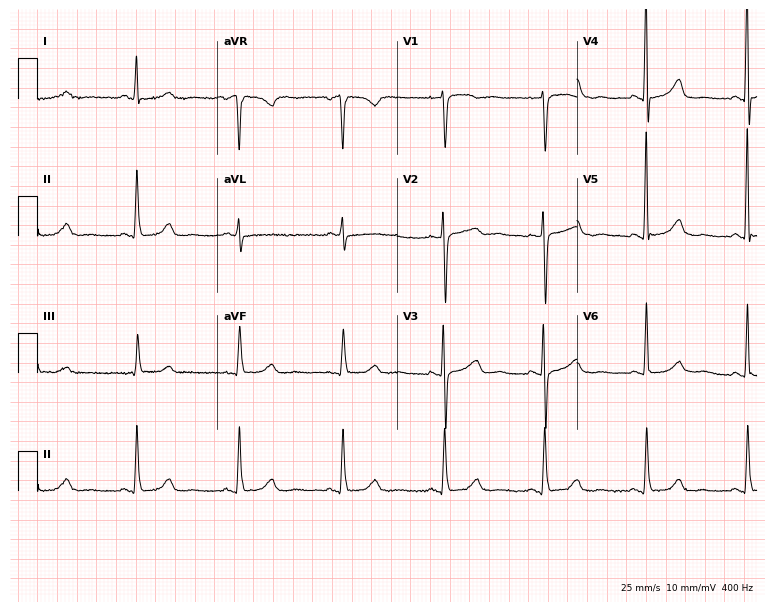
Standard 12-lead ECG recorded from a 74-year-old woman. None of these six findings is recorded: first-degree AV block, right bundle branch block (RBBB), left bundle branch block (LBBB), sinus bradycardia, atrial fibrillation (AF), sinus tachycardia.